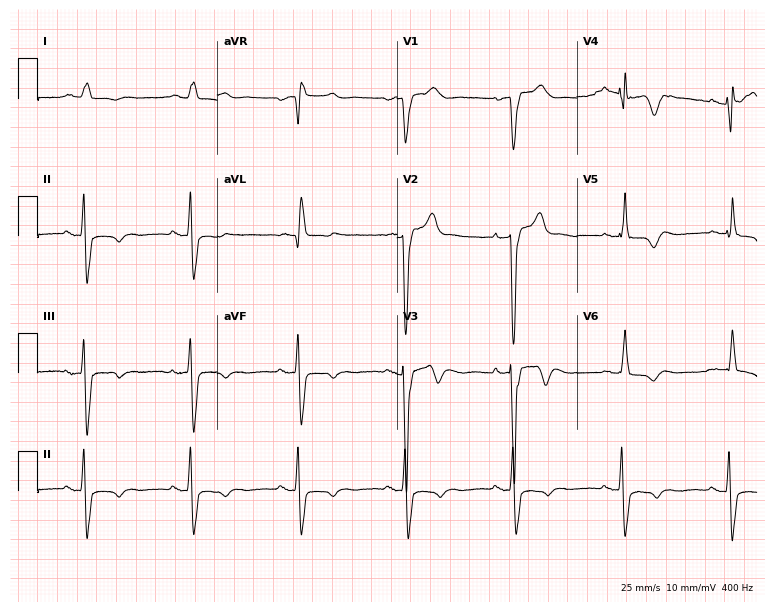
Electrocardiogram, a man, 69 years old. Of the six screened findings (first-degree AV block, right bundle branch block (RBBB), left bundle branch block (LBBB), sinus bradycardia, atrial fibrillation (AF), sinus tachycardia), none is recorded. Other findings, if any, are not listed.